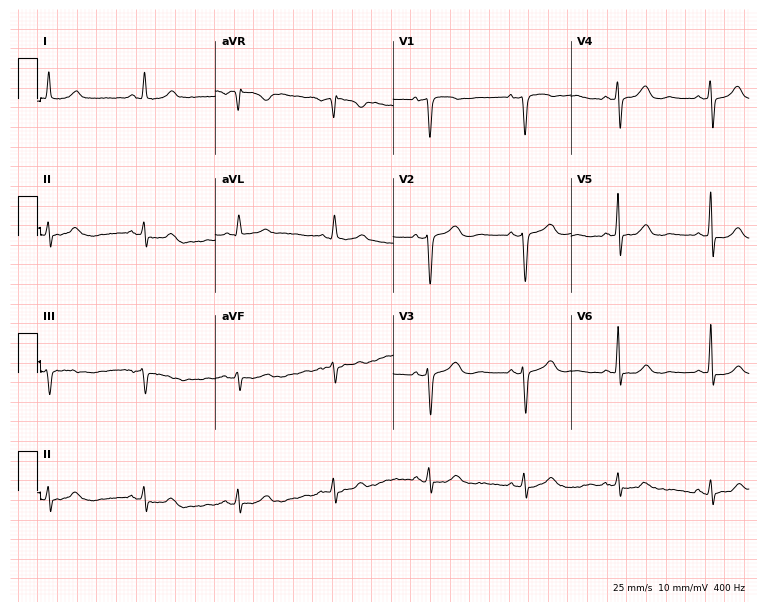
ECG — a 79-year-old female patient. Screened for six findings — first-degree AV block, right bundle branch block (RBBB), left bundle branch block (LBBB), sinus bradycardia, atrial fibrillation (AF), sinus tachycardia — none is recorded.